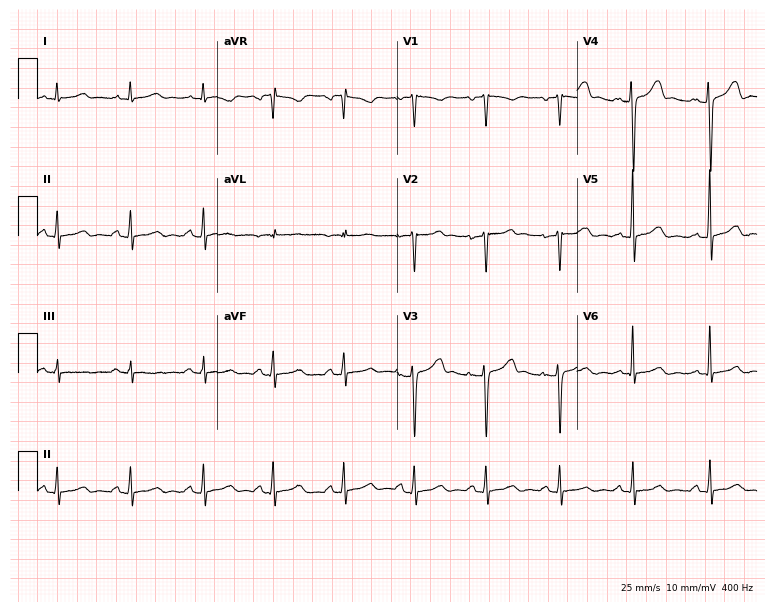
Standard 12-lead ECG recorded from a 45-year-old female. None of these six findings is recorded: first-degree AV block, right bundle branch block, left bundle branch block, sinus bradycardia, atrial fibrillation, sinus tachycardia.